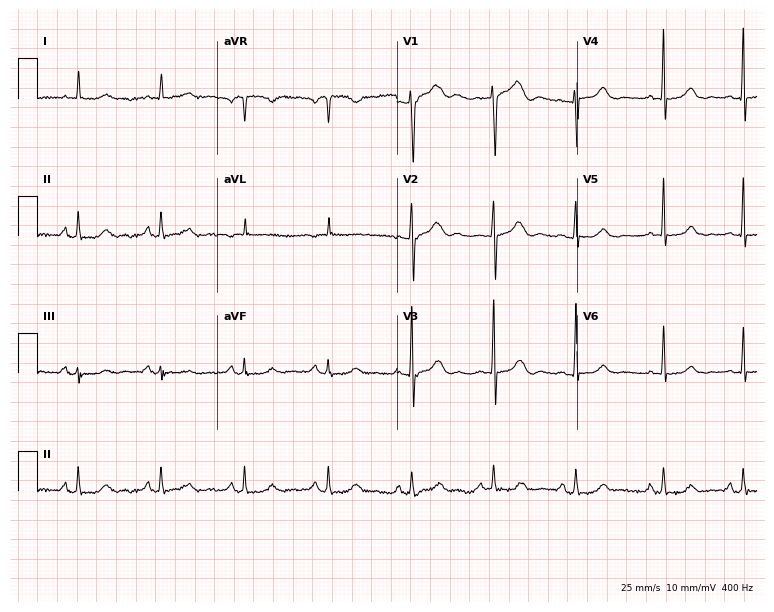
Electrocardiogram, a female patient, 52 years old. Overall reading on record: normal ECG.